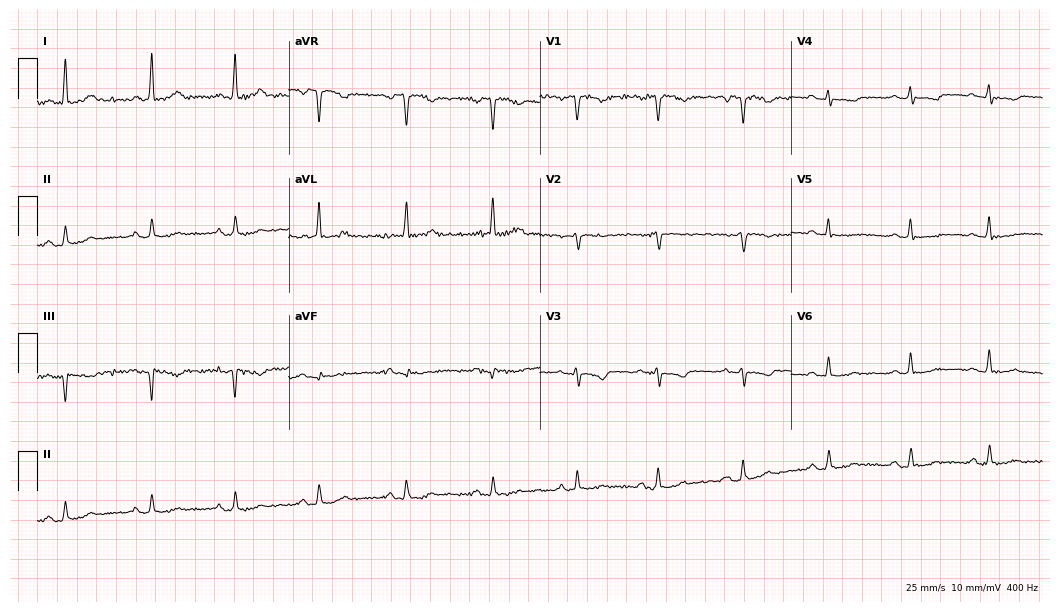
12-lead ECG from a 51-year-old female. No first-degree AV block, right bundle branch block (RBBB), left bundle branch block (LBBB), sinus bradycardia, atrial fibrillation (AF) or sinus tachycardia recorded for this tracing. Other findings, if any, are not listed.